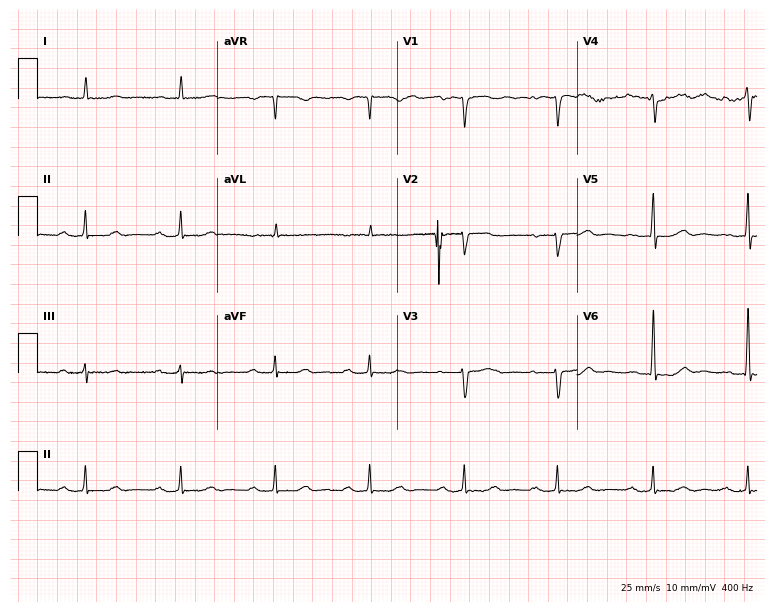
Electrocardiogram (7.3-second recording at 400 Hz), a male, 83 years old. Of the six screened findings (first-degree AV block, right bundle branch block, left bundle branch block, sinus bradycardia, atrial fibrillation, sinus tachycardia), none is recorded.